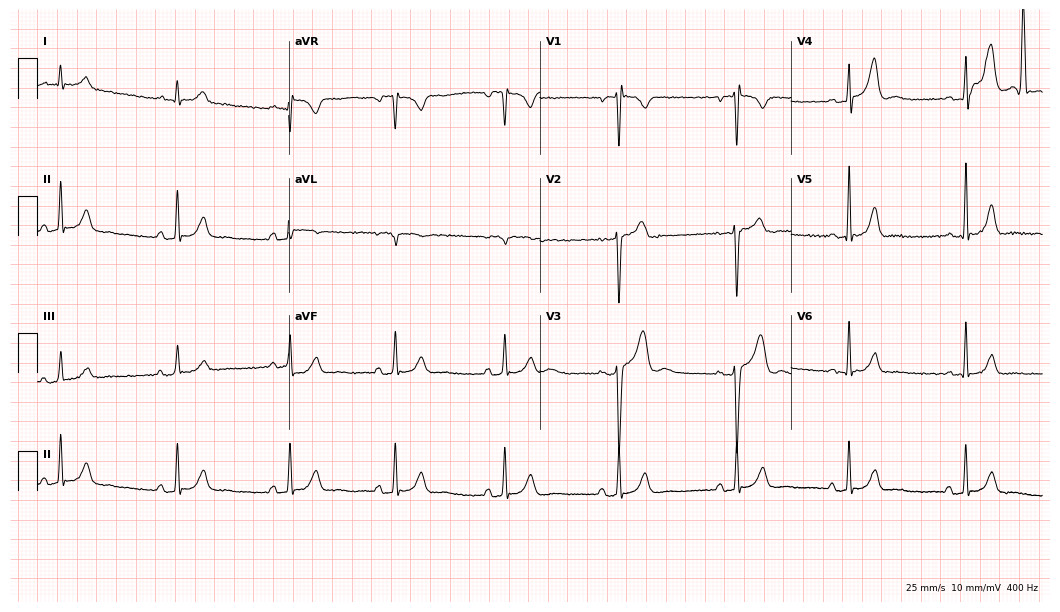
12-lead ECG (10.2-second recording at 400 Hz) from an 18-year-old male. Screened for six findings — first-degree AV block, right bundle branch block, left bundle branch block, sinus bradycardia, atrial fibrillation, sinus tachycardia — none is recorded. Other findings, if any, are not listed.